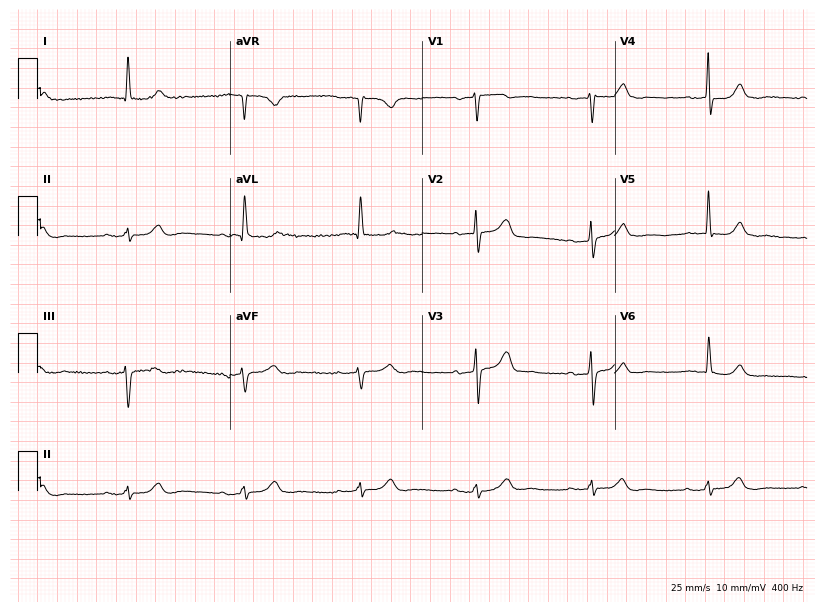
12-lead ECG from an 81-year-old male patient (7.8-second recording at 400 Hz). Recorded interpretation: within normal limits.